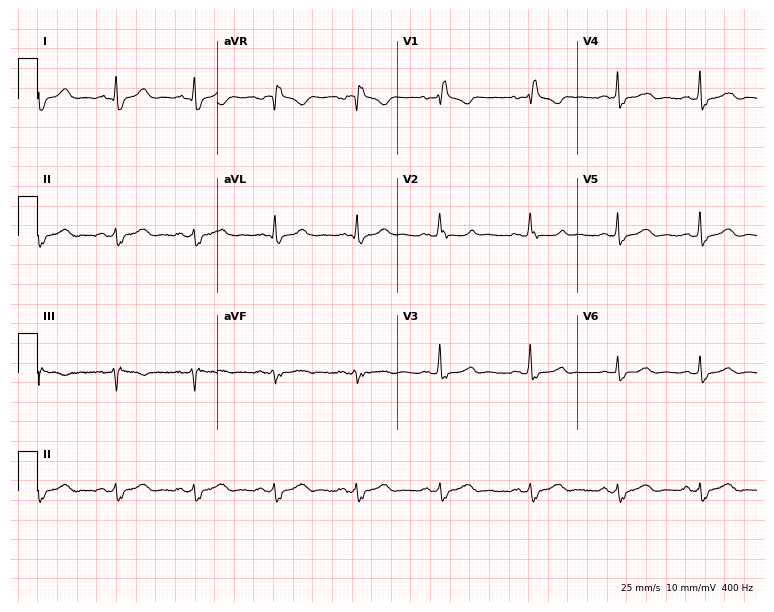
Standard 12-lead ECG recorded from a female, 48 years old. The tracing shows right bundle branch block.